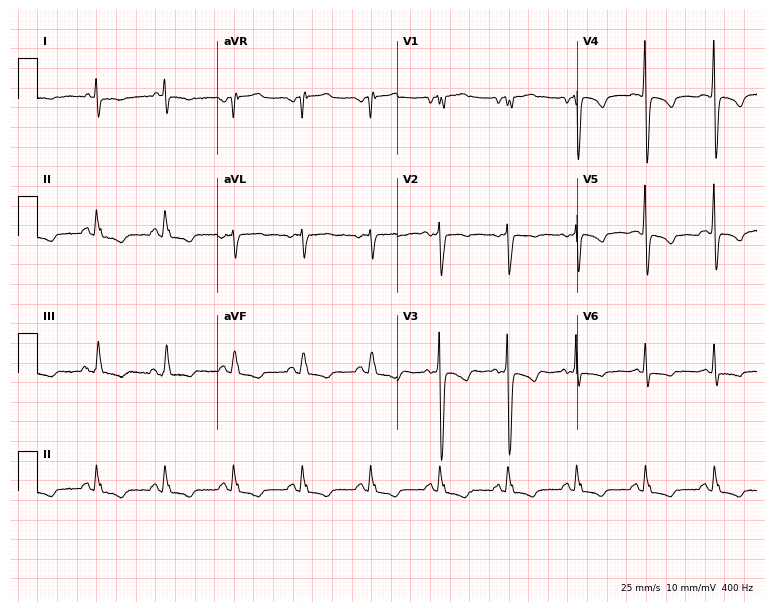
Electrocardiogram, a male, 53 years old. Overall reading on record: normal ECG.